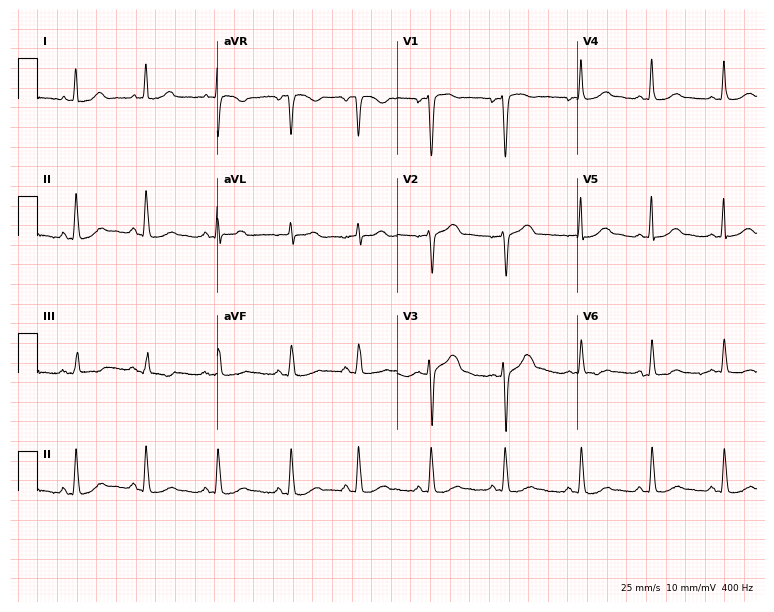
Resting 12-lead electrocardiogram. Patient: a female, 43 years old. Read as a normal ECG.